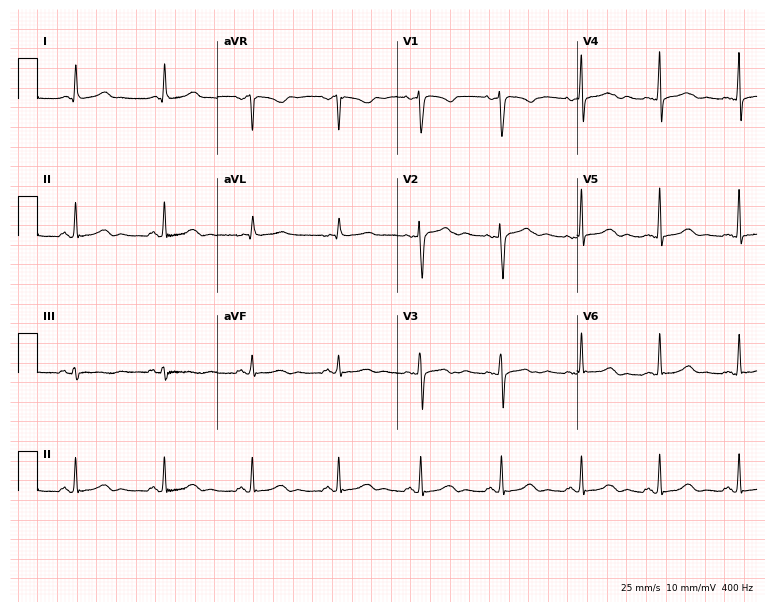
Standard 12-lead ECG recorded from a 47-year-old female patient. Read as a normal ECG.